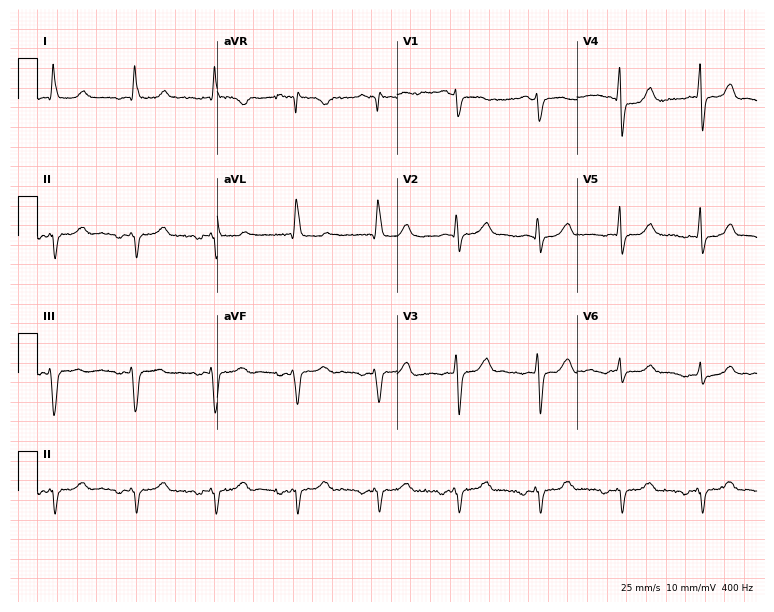
ECG — a male patient, 82 years old. Screened for six findings — first-degree AV block, right bundle branch block (RBBB), left bundle branch block (LBBB), sinus bradycardia, atrial fibrillation (AF), sinus tachycardia — none is recorded. Only these six findings were labelled.